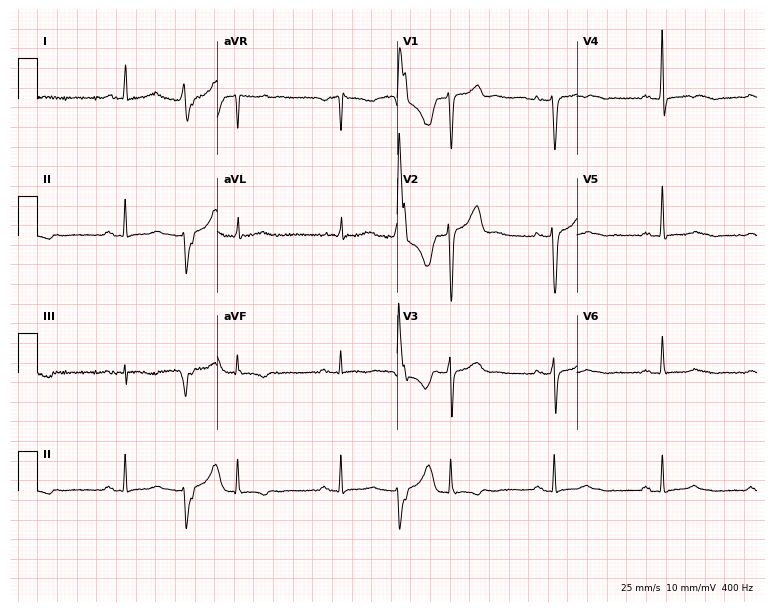
12-lead ECG from a female patient, 58 years old. No first-degree AV block, right bundle branch block (RBBB), left bundle branch block (LBBB), sinus bradycardia, atrial fibrillation (AF) or sinus tachycardia recorded for this tracing.